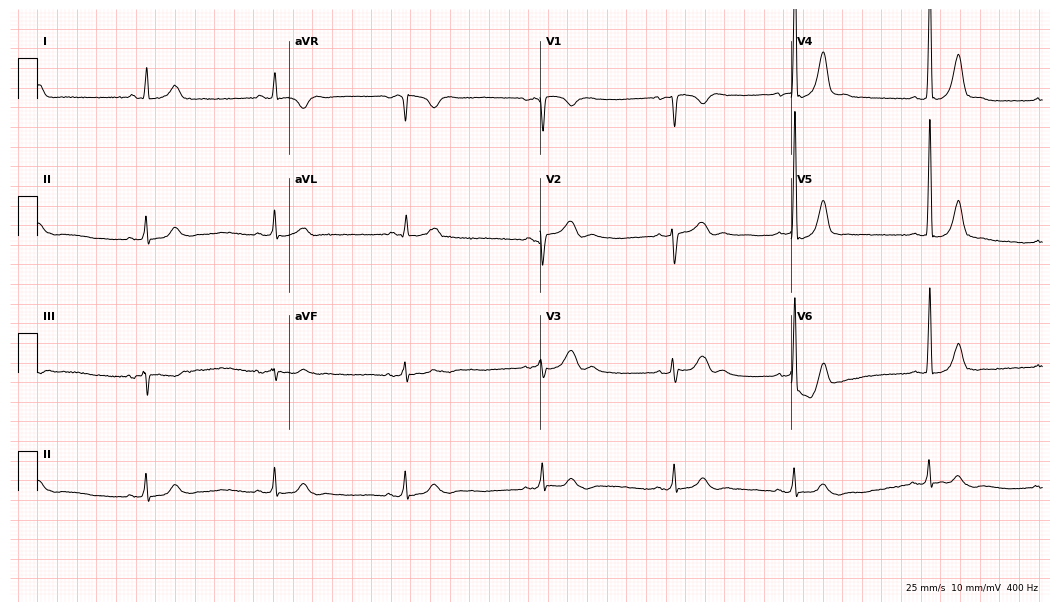
Electrocardiogram, a female, 27 years old. Interpretation includes sinus bradycardia (a sinus rate of 50 beats per minute or less).